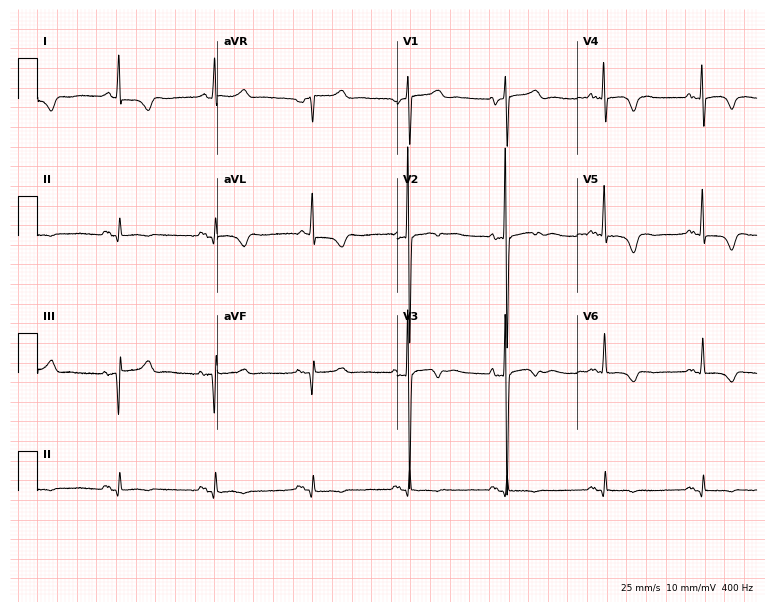
Standard 12-lead ECG recorded from a male patient, 81 years old (7.3-second recording at 400 Hz). None of these six findings is recorded: first-degree AV block, right bundle branch block (RBBB), left bundle branch block (LBBB), sinus bradycardia, atrial fibrillation (AF), sinus tachycardia. Findings outside these six are not listed.